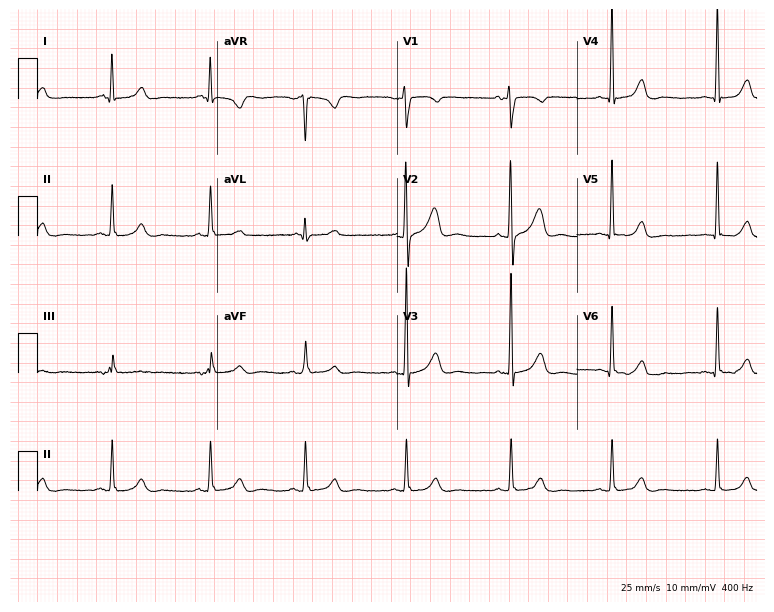
12-lead ECG from a female, 49 years old. Recorded interpretation: within normal limits.